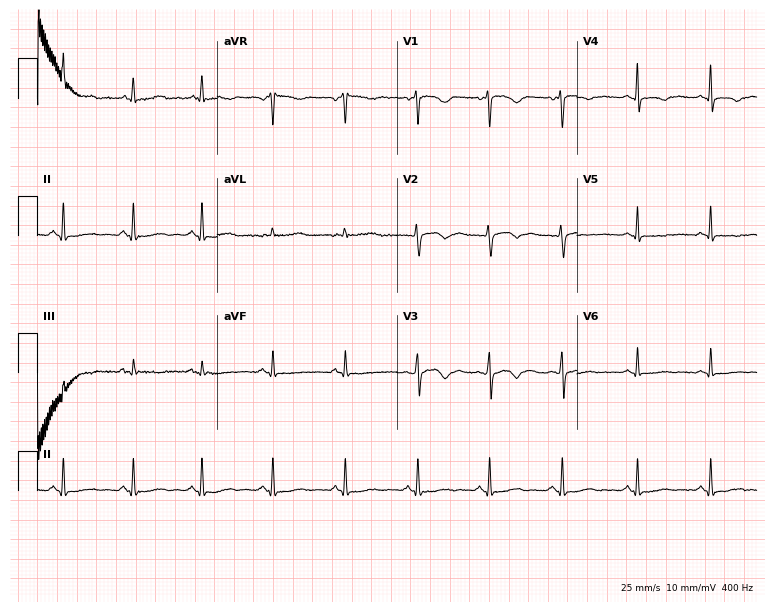
12-lead ECG from a woman, 46 years old. No first-degree AV block, right bundle branch block, left bundle branch block, sinus bradycardia, atrial fibrillation or sinus tachycardia recorded for this tracing.